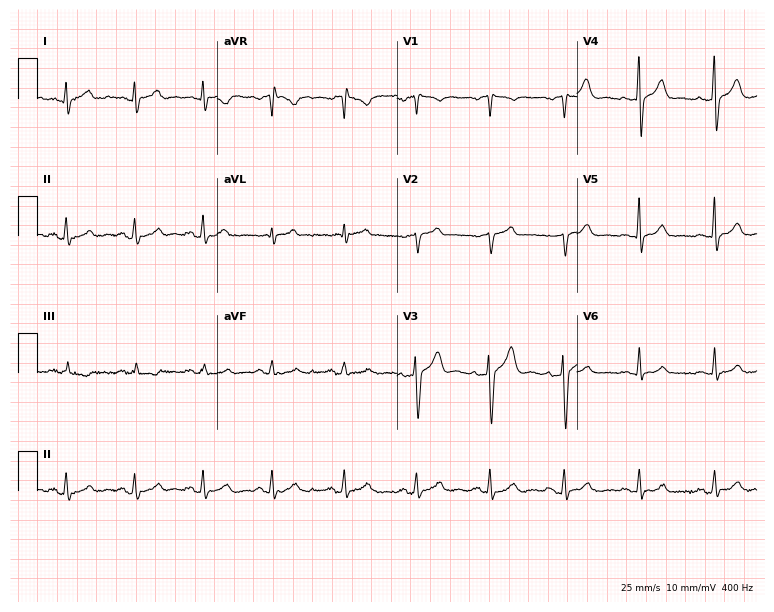
12-lead ECG from a 42-year-old man. Recorded interpretation: within normal limits.